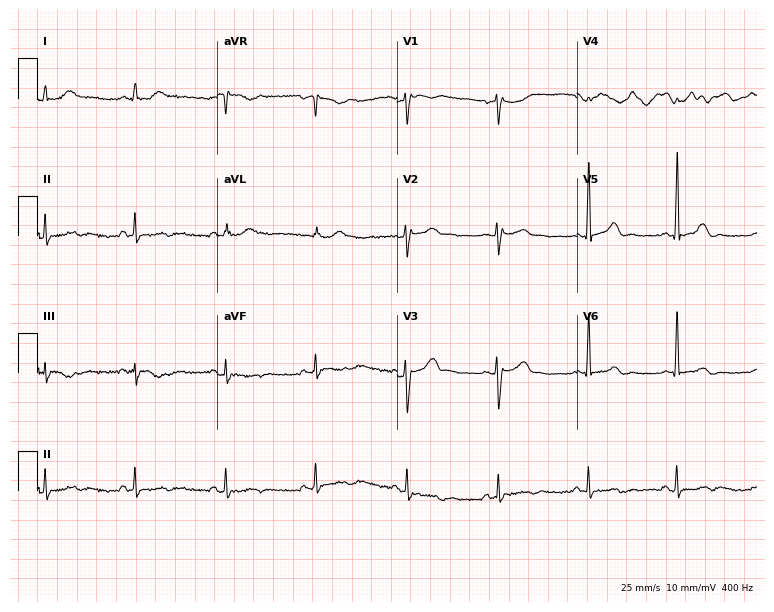
Standard 12-lead ECG recorded from a 36-year-old male (7.3-second recording at 400 Hz). Read as a normal ECG.